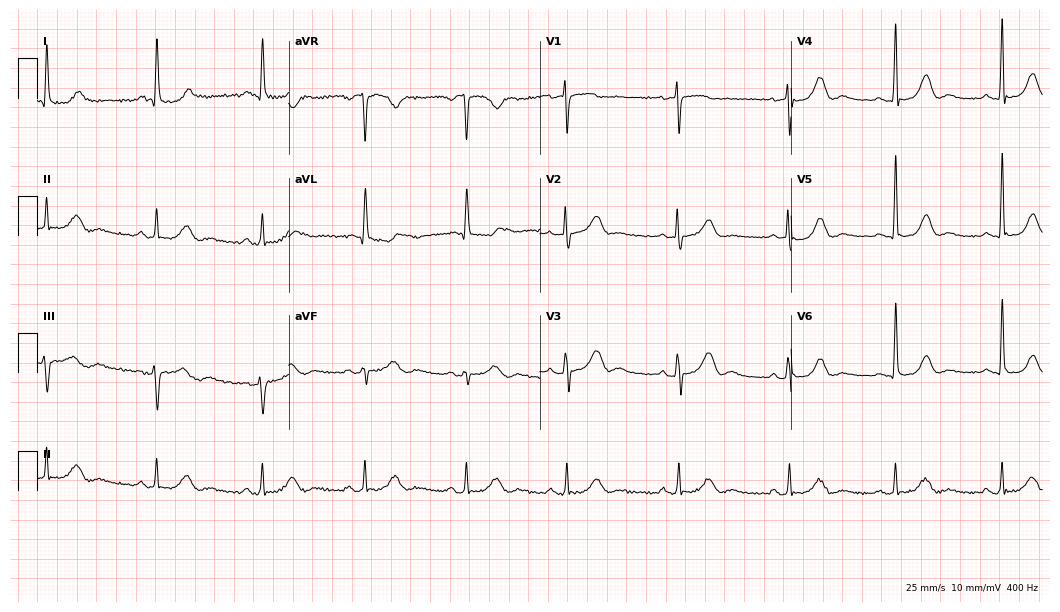
Resting 12-lead electrocardiogram (10.2-second recording at 400 Hz). Patient: a 75-year-old female. Read as a normal ECG.